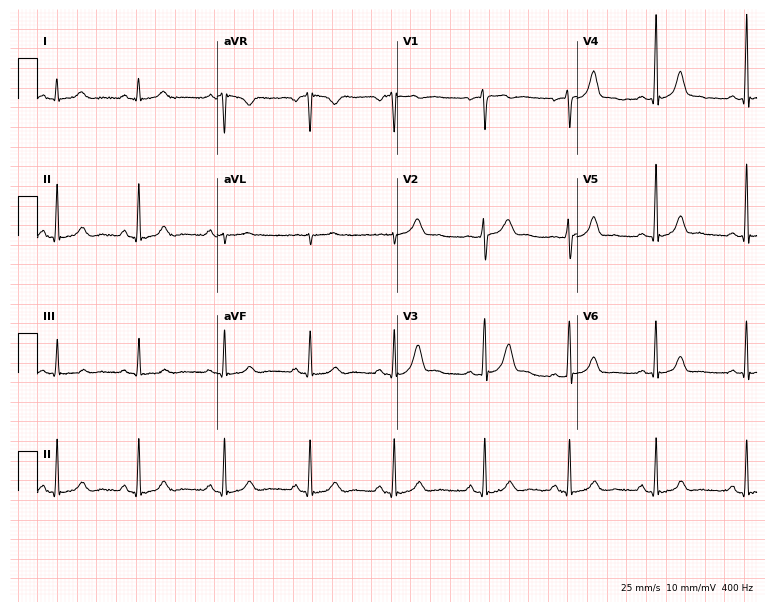
Electrocardiogram, a 24-year-old female patient. Overall reading on record: normal ECG.